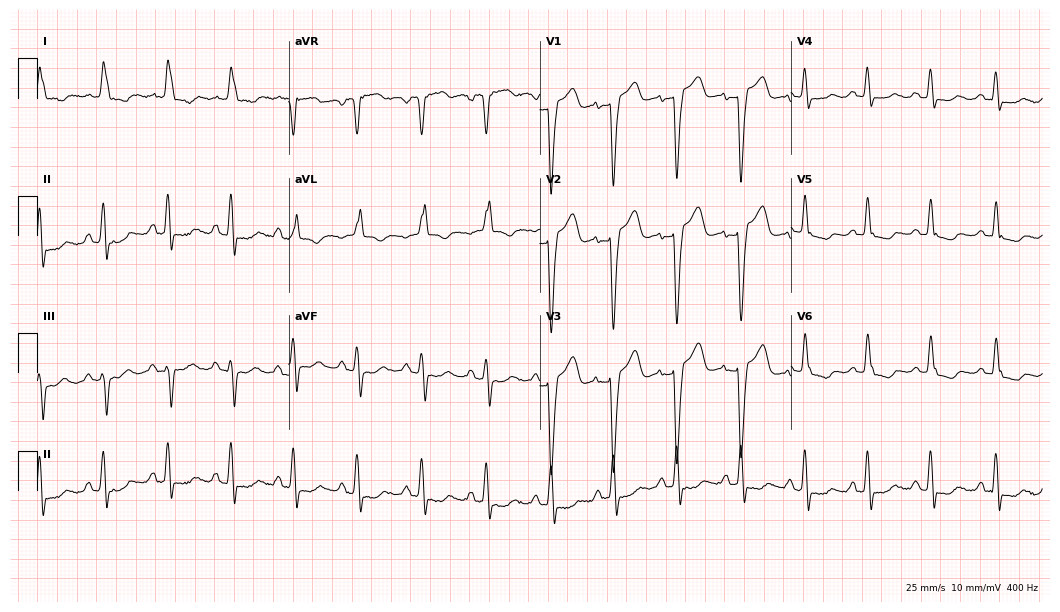
12-lead ECG from a female, 80 years old. Shows left bundle branch block.